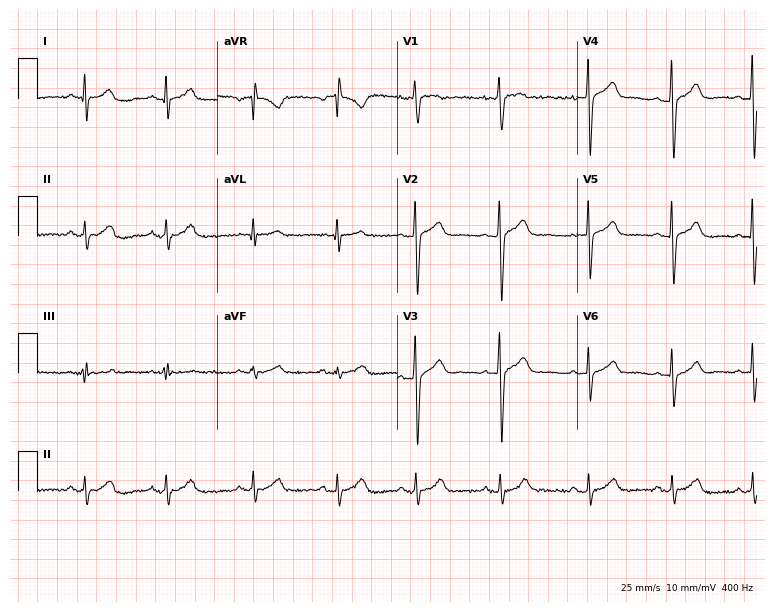
12-lead ECG (7.3-second recording at 400 Hz) from a female, 28 years old. Screened for six findings — first-degree AV block, right bundle branch block, left bundle branch block, sinus bradycardia, atrial fibrillation, sinus tachycardia — none is recorded.